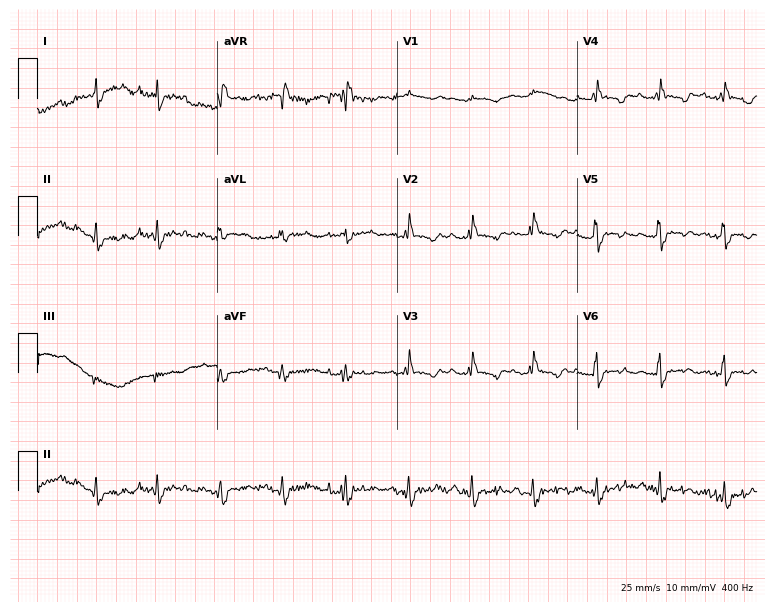
ECG — a female, 68 years old. Findings include right bundle branch block.